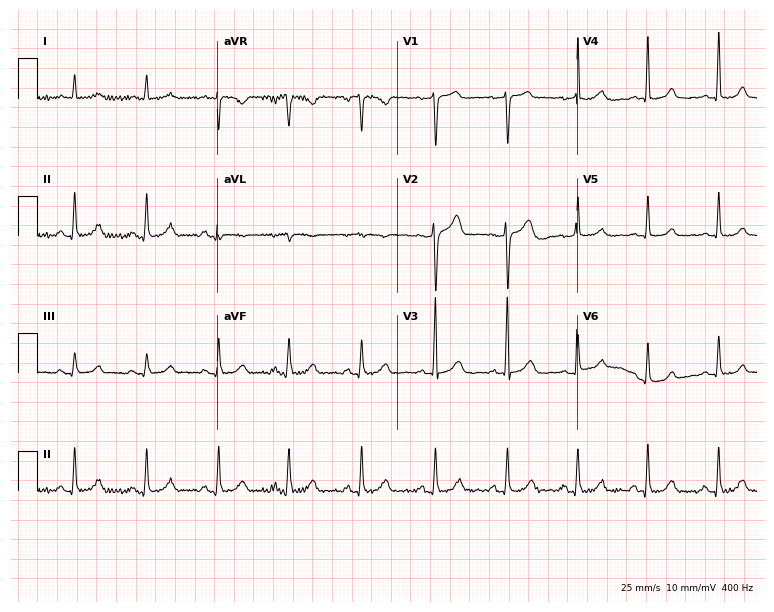
Resting 12-lead electrocardiogram (7.3-second recording at 400 Hz). Patient: a man, 57 years old. Read as a normal ECG.